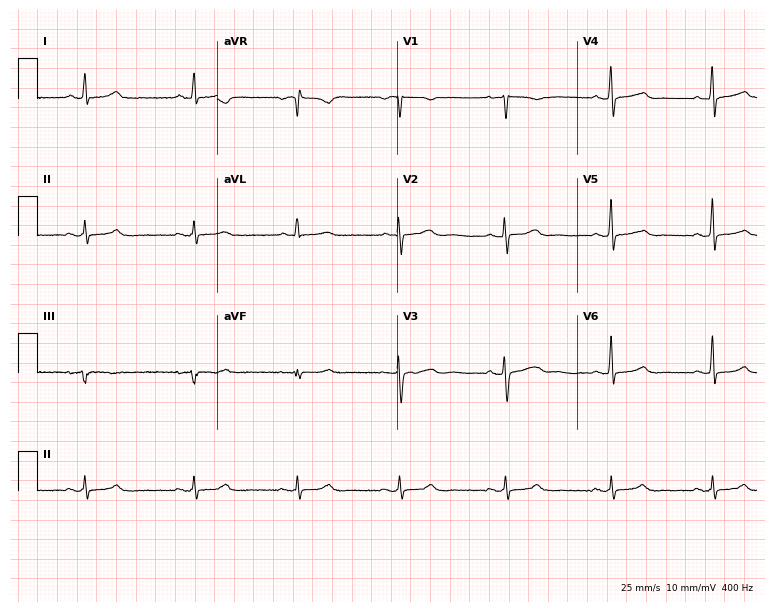
12-lead ECG from a 51-year-old woman. Labelled as a normal ECG.